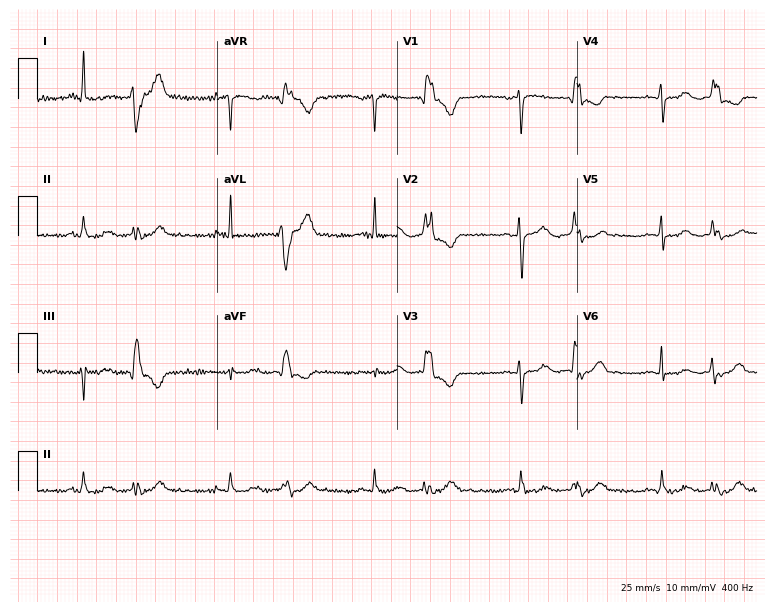
12-lead ECG from a woman, 52 years old (7.3-second recording at 400 Hz). No first-degree AV block, right bundle branch block (RBBB), left bundle branch block (LBBB), sinus bradycardia, atrial fibrillation (AF) or sinus tachycardia recorded for this tracing.